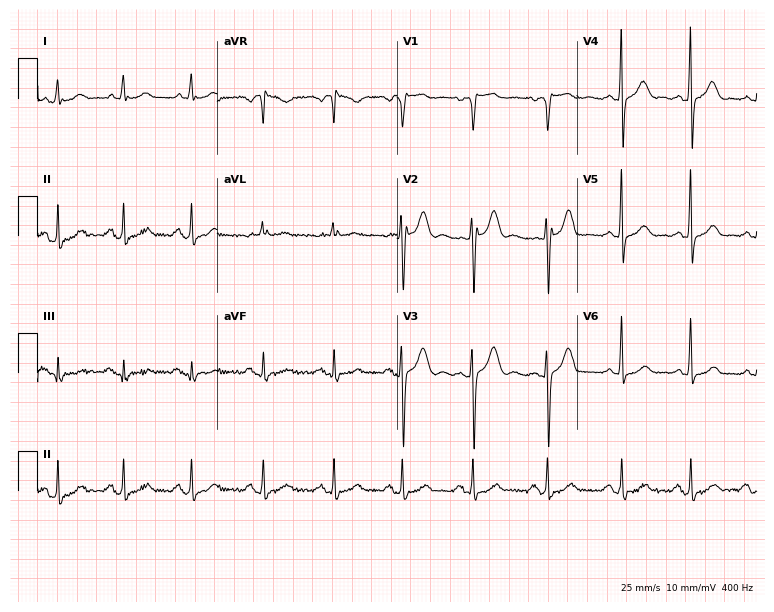
12-lead ECG from a woman, 48 years old (7.3-second recording at 400 Hz). No first-degree AV block, right bundle branch block (RBBB), left bundle branch block (LBBB), sinus bradycardia, atrial fibrillation (AF) or sinus tachycardia recorded for this tracing. Only these six findings were labelled.